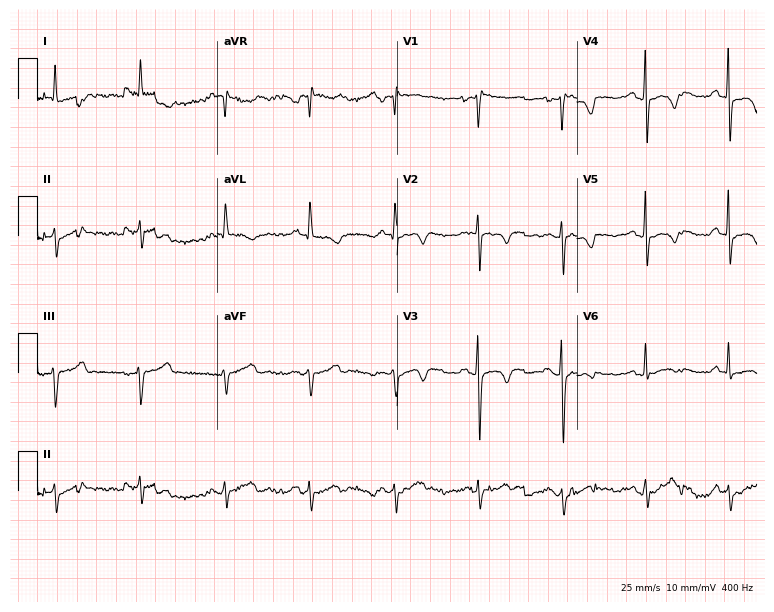
ECG — a 71-year-old male patient. Screened for six findings — first-degree AV block, right bundle branch block, left bundle branch block, sinus bradycardia, atrial fibrillation, sinus tachycardia — none is recorded. Only these six findings were labelled.